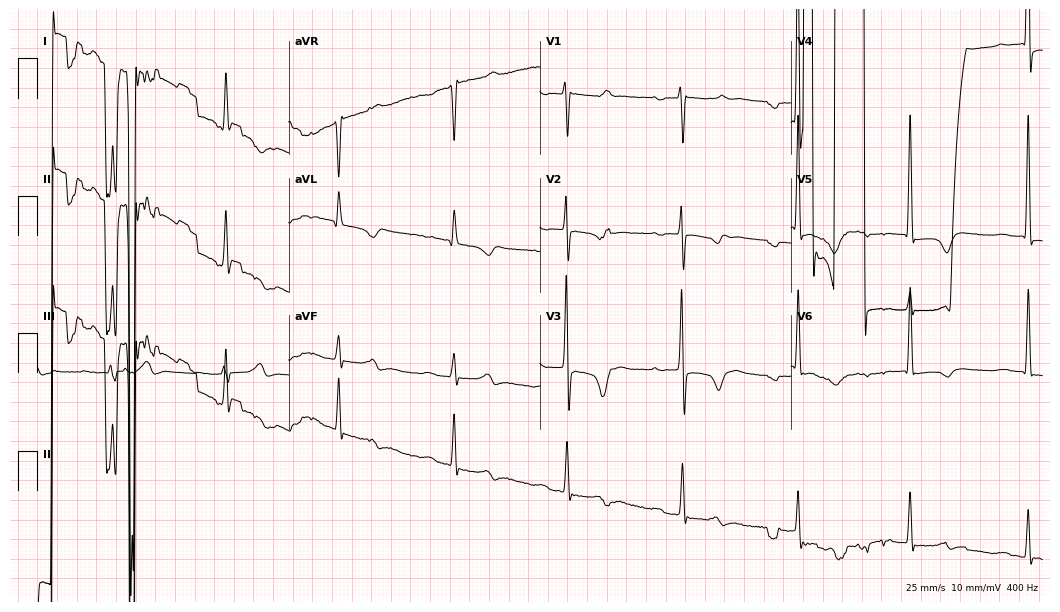
Standard 12-lead ECG recorded from a female patient, 82 years old. None of these six findings is recorded: first-degree AV block, right bundle branch block, left bundle branch block, sinus bradycardia, atrial fibrillation, sinus tachycardia. Other findings, if any, are not listed.